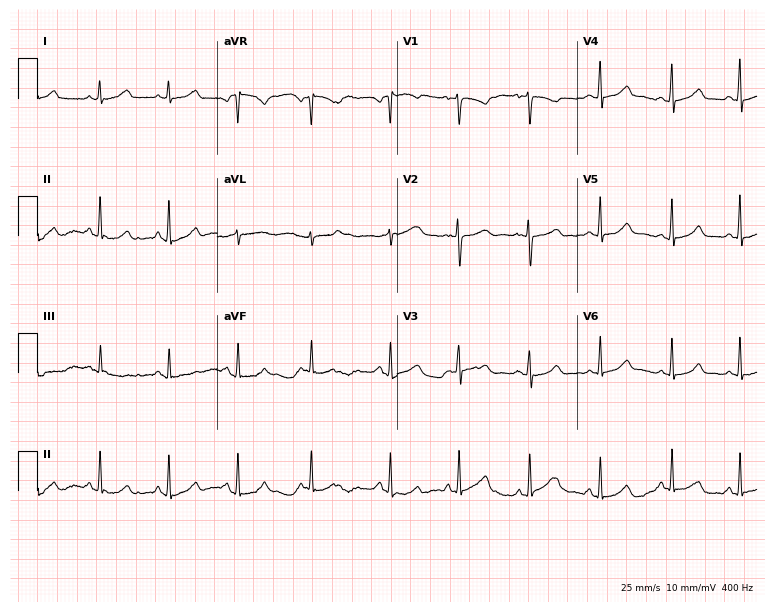
12-lead ECG from a woman, 36 years old. Recorded interpretation: within normal limits.